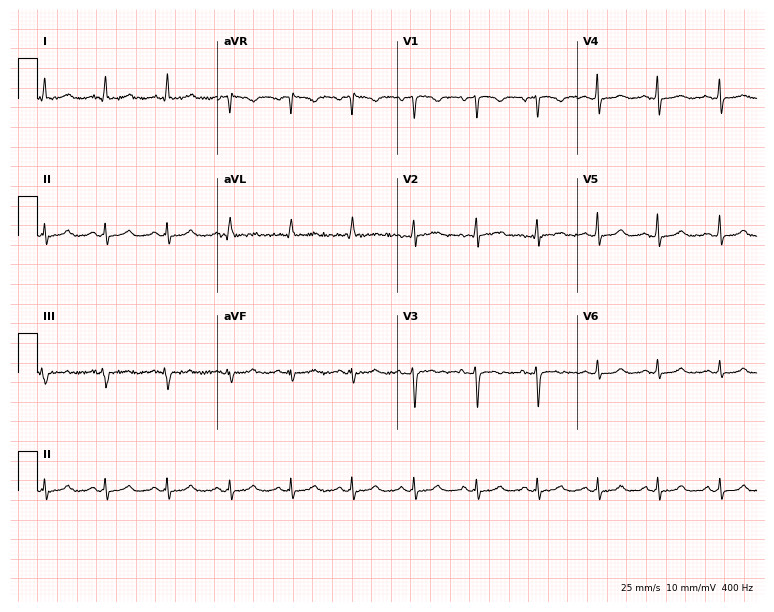
Electrocardiogram (7.3-second recording at 400 Hz), a 47-year-old female patient. Of the six screened findings (first-degree AV block, right bundle branch block, left bundle branch block, sinus bradycardia, atrial fibrillation, sinus tachycardia), none is recorded.